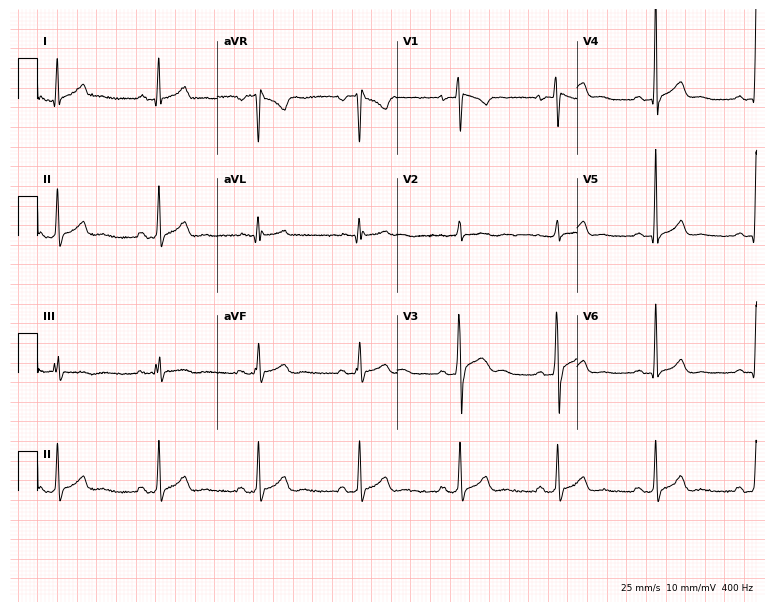
12-lead ECG (7.3-second recording at 400 Hz) from a male, 22 years old. Labelled as a normal ECG.